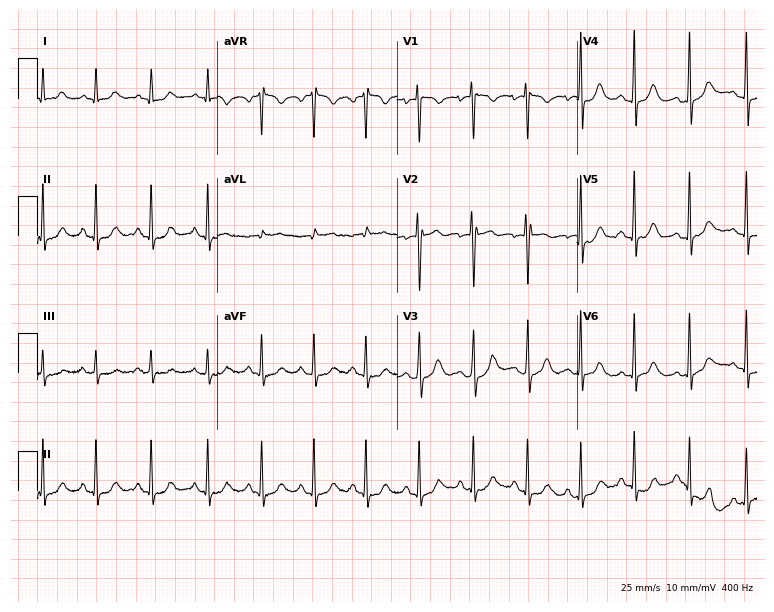
Resting 12-lead electrocardiogram (7.3-second recording at 400 Hz). Patient: a 23-year-old woman. None of these six findings is recorded: first-degree AV block, right bundle branch block (RBBB), left bundle branch block (LBBB), sinus bradycardia, atrial fibrillation (AF), sinus tachycardia.